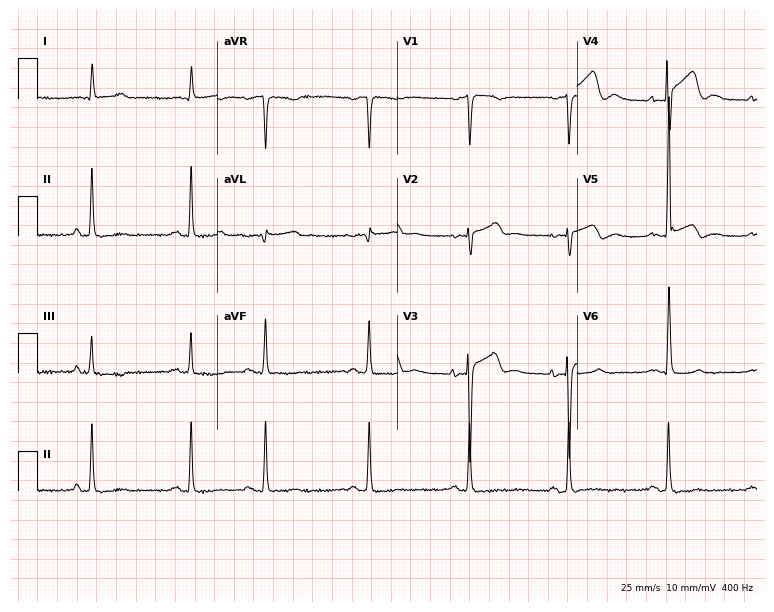
Resting 12-lead electrocardiogram (7.3-second recording at 400 Hz). Patient: a male, 83 years old. None of these six findings is recorded: first-degree AV block, right bundle branch block, left bundle branch block, sinus bradycardia, atrial fibrillation, sinus tachycardia. Findings outside these six are not listed.